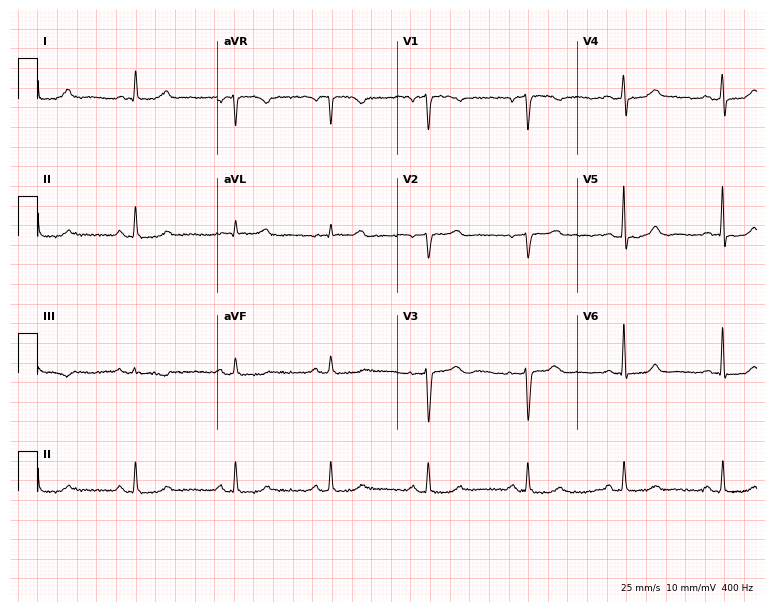
Standard 12-lead ECG recorded from a woman, 43 years old. Read as a normal ECG.